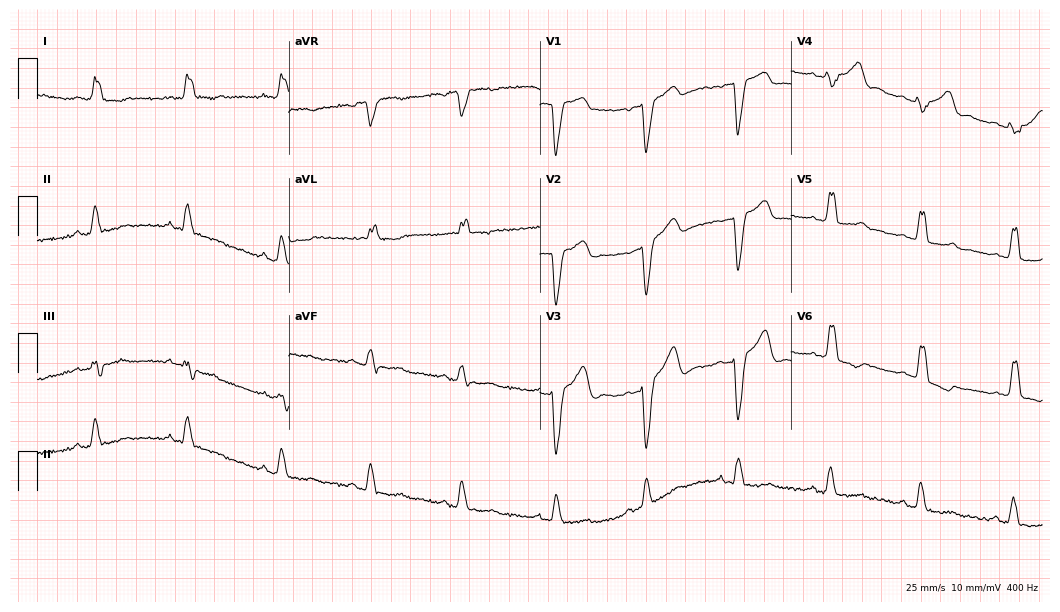
Resting 12-lead electrocardiogram. Patient: a woman, 47 years old. The tracing shows left bundle branch block.